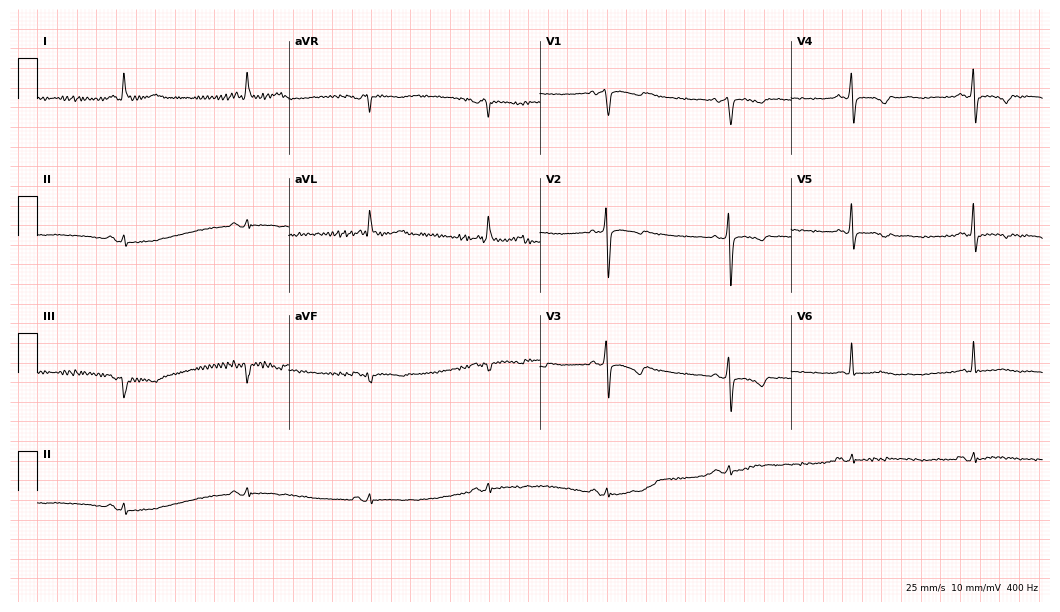
ECG (10.2-second recording at 400 Hz) — a 76-year-old female. Findings include sinus bradycardia (a sinus rate of 50 beats per minute or less).